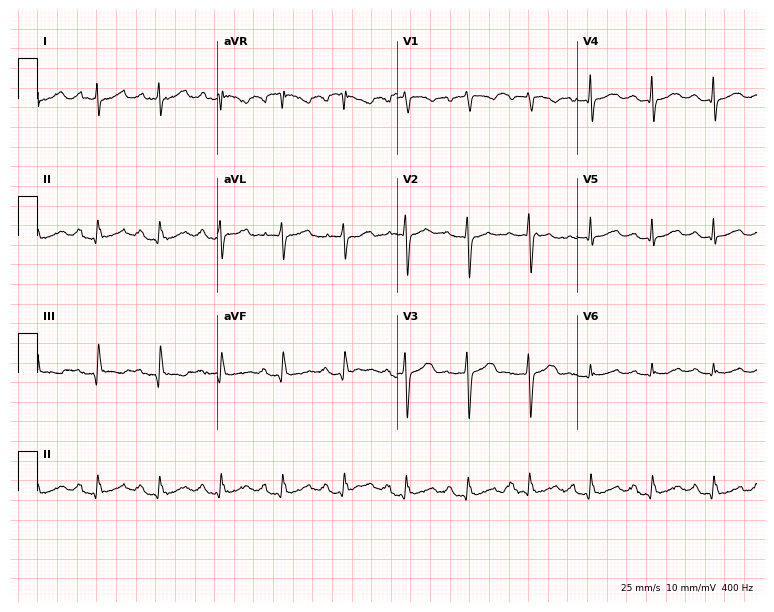
Resting 12-lead electrocardiogram (7.3-second recording at 400 Hz). Patient: a woman, 61 years old. Read as a normal ECG.